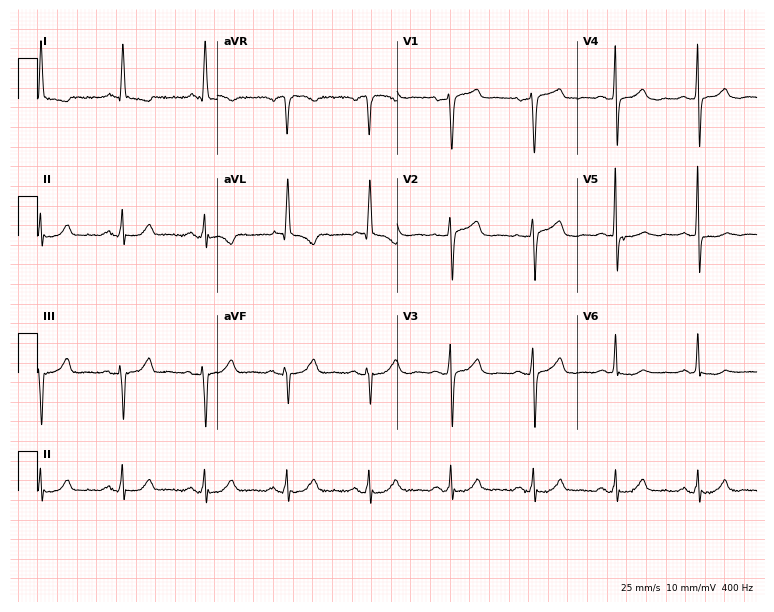
Electrocardiogram, a 74-year-old male patient. Of the six screened findings (first-degree AV block, right bundle branch block (RBBB), left bundle branch block (LBBB), sinus bradycardia, atrial fibrillation (AF), sinus tachycardia), none is recorded. Findings outside these six are not listed.